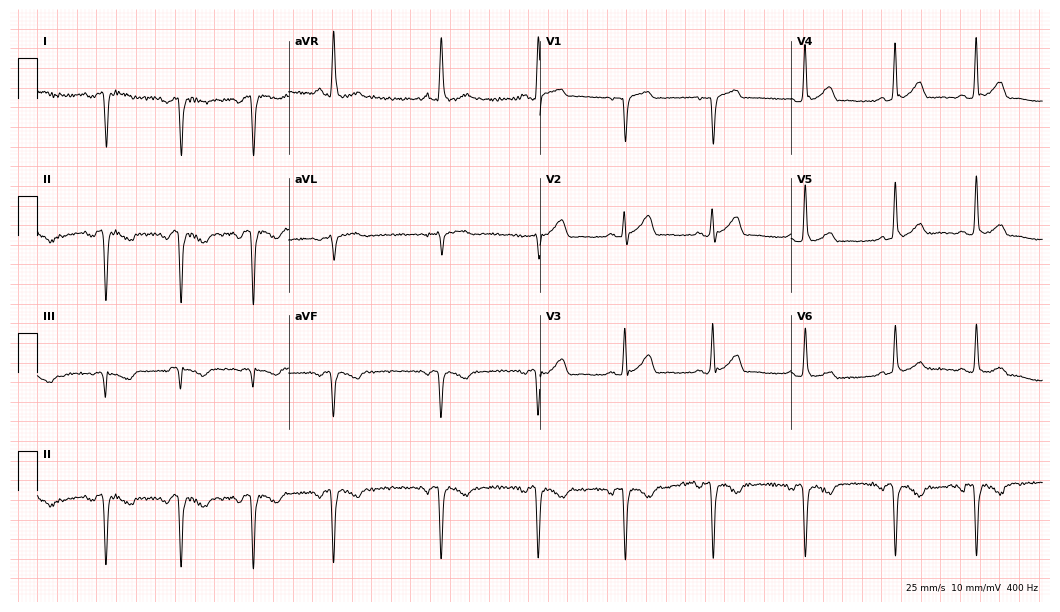
Electrocardiogram, a 66-year-old female patient. Of the six screened findings (first-degree AV block, right bundle branch block, left bundle branch block, sinus bradycardia, atrial fibrillation, sinus tachycardia), none is recorded.